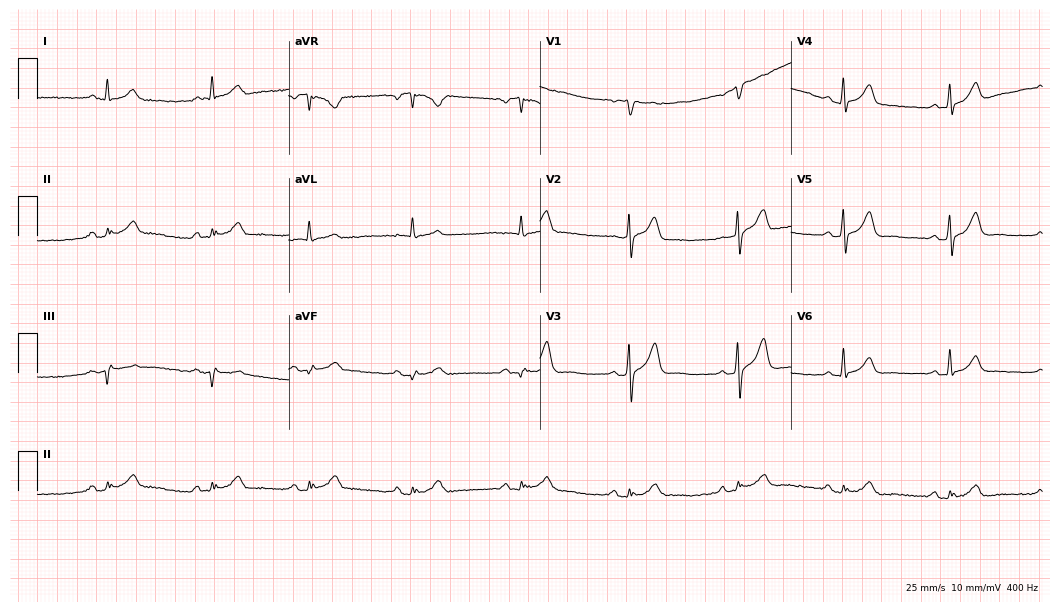
Resting 12-lead electrocardiogram. Patient: a 53-year-old male. None of these six findings is recorded: first-degree AV block, right bundle branch block, left bundle branch block, sinus bradycardia, atrial fibrillation, sinus tachycardia.